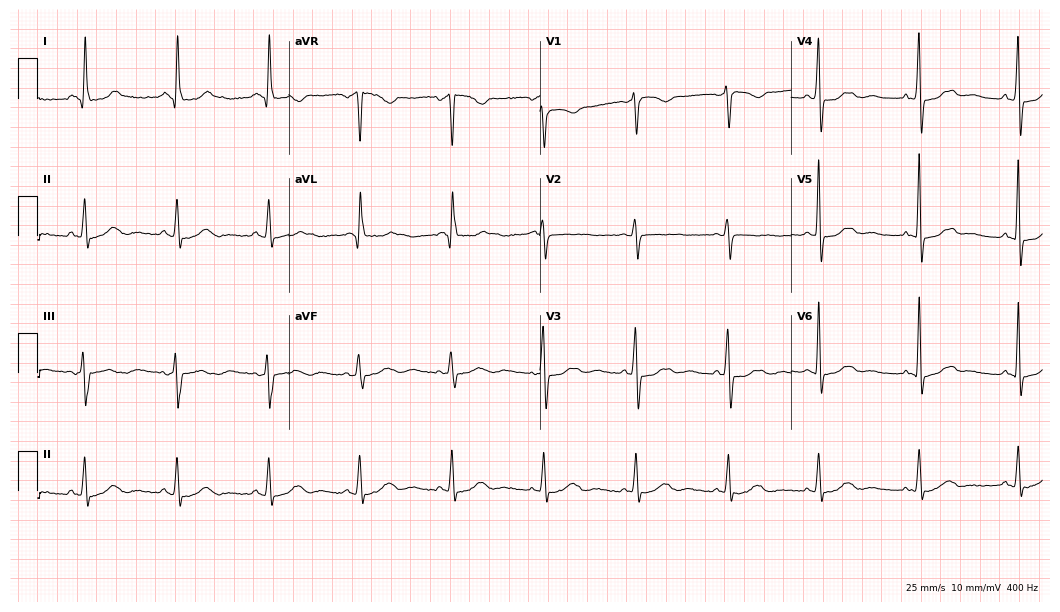
Electrocardiogram (10.2-second recording at 400 Hz), a female patient, 64 years old. Of the six screened findings (first-degree AV block, right bundle branch block (RBBB), left bundle branch block (LBBB), sinus bradycardia, atrial fibrillation (AF), sinus tachycardia), none is recorded.